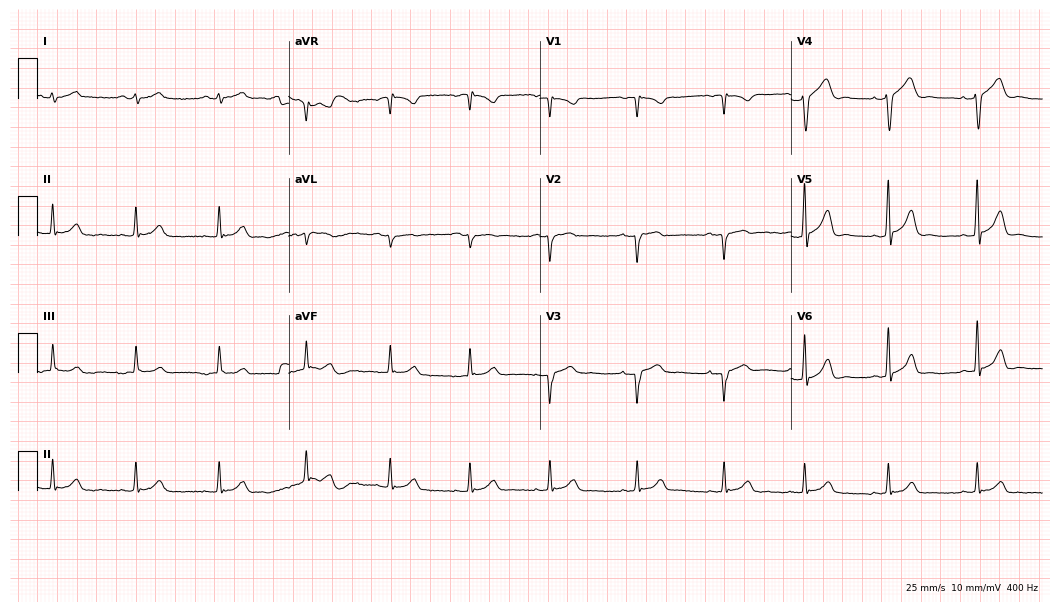
Resting 12-lead electrocardiogram. Patient: a female, 32 years old. None of these six findings is recorded: first-degree AV block, right bundle branch block (RBBB), left bundle branch block (LBBB), sinus bradycardia, atrial fibrillation (AF), sinus tachycardia. Findings outside these six are not listed.